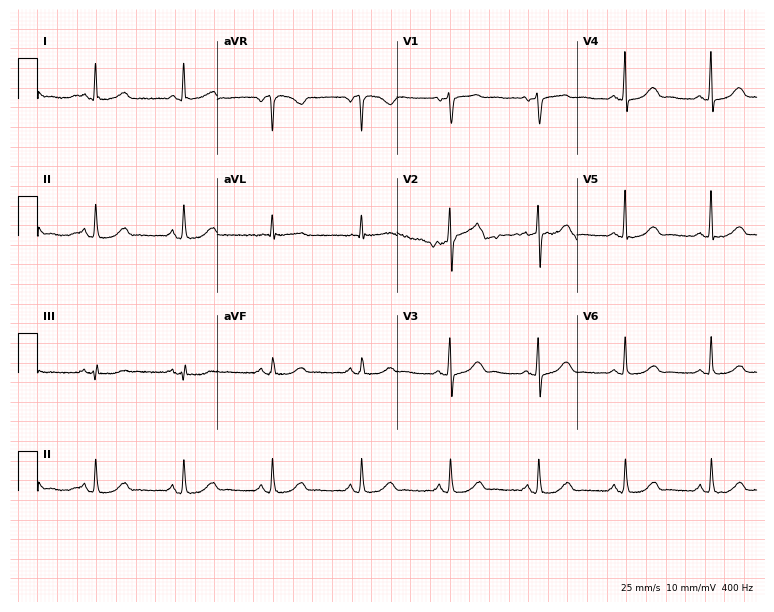
12-lead ECG from a 76-year-old female patient. Labelled as a normal ECG.